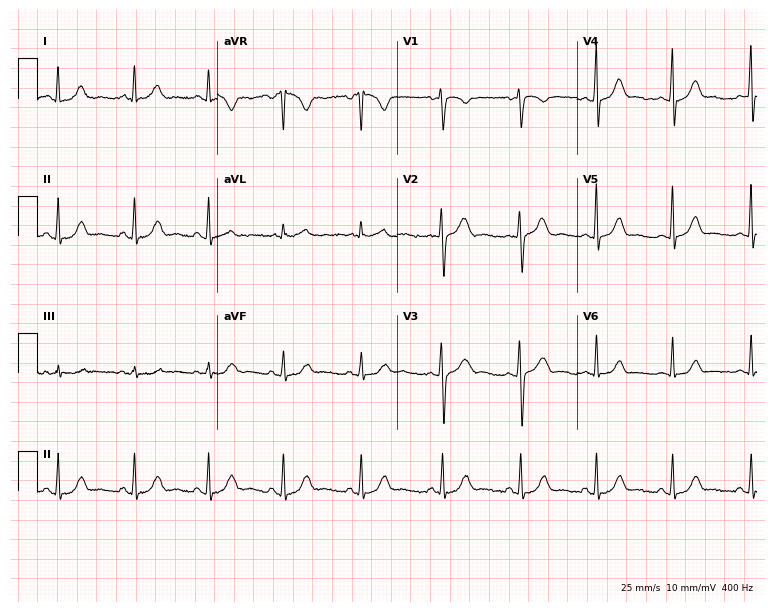
12-lead ECG from a 38-year-old female. Recorded interpretation: within normal limits.